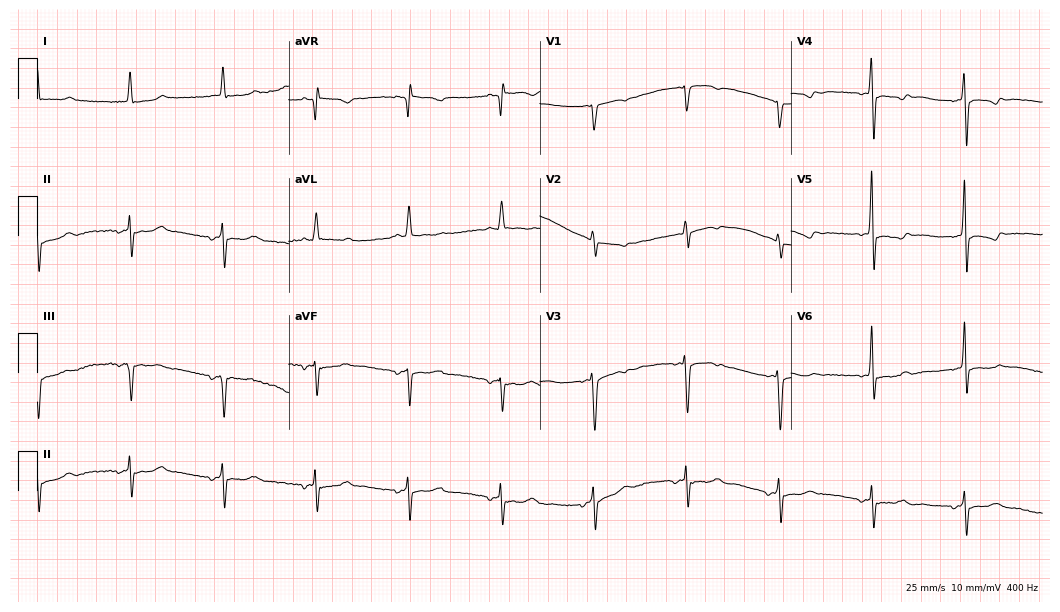
Electrocardiogram, a female, 68 years old. Of the six screened findings (first-degree AV block, right bundle branch block, left bundle branch block, sinus bradycardia, atrial fibrillation, sinus tachycardia), none is recorded.